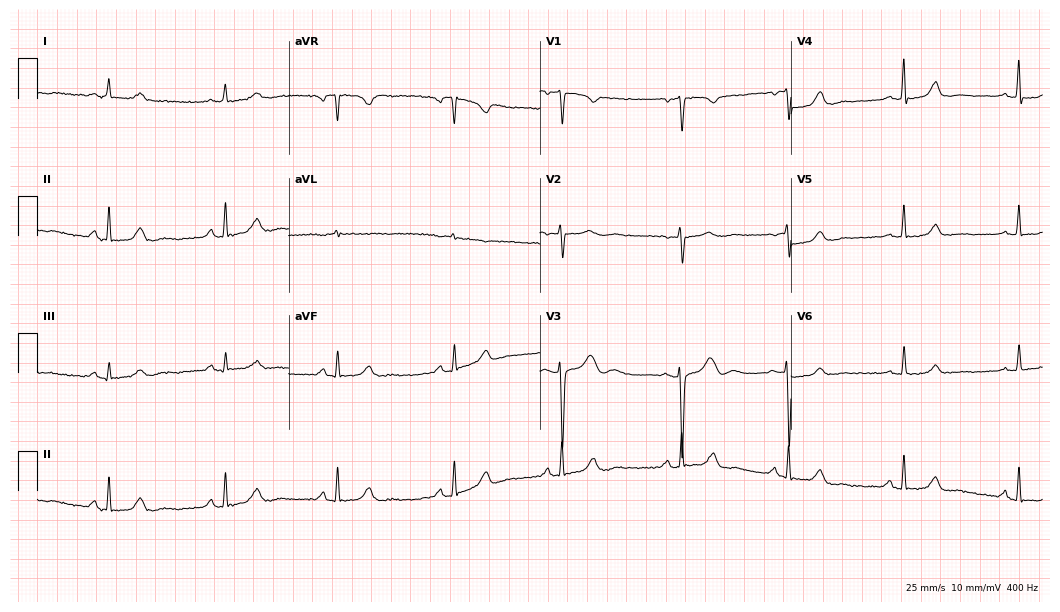
Standard 12-lead ECG recorded from a 19-year-old female patient. Read as a normal ECG.